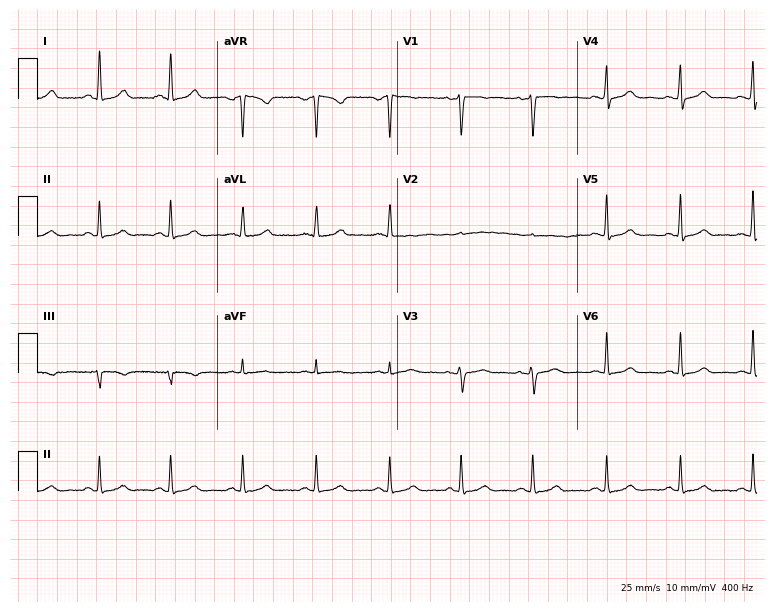
12-lead ECG from a 39-year-old female patient. No first-degree AV block, right bundle branch block, left bundle branch block, sinus bradycardia, atrial fibrillation or sinus tachycardia recorded for this tracing. Other findings, if any, are not listed.